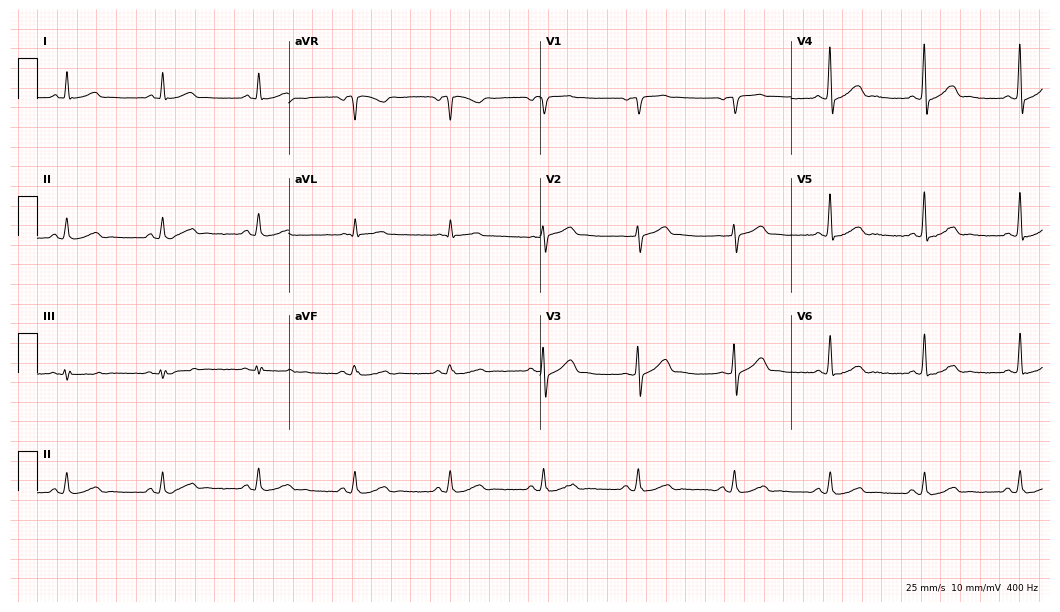
12-lead ECG from a male patient, 68 years old. Labelled as a normal ECG.